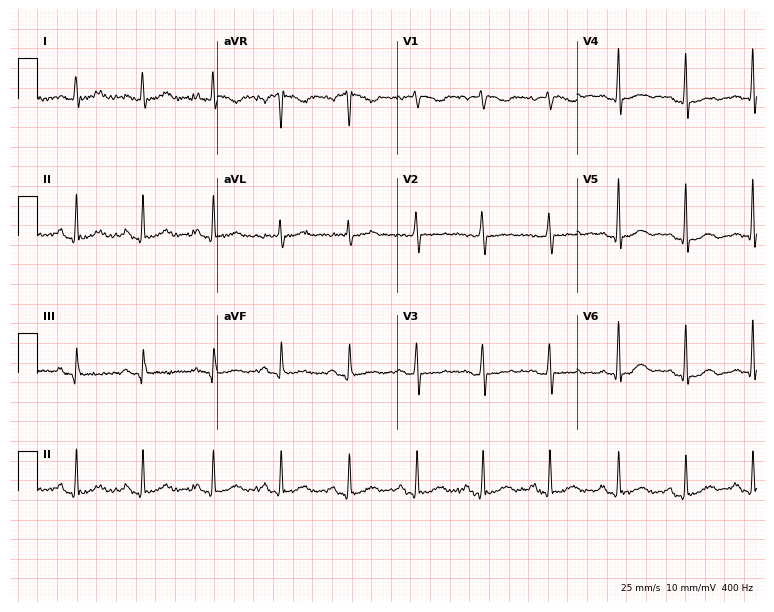
12-lead ECG from a 53-year-old female patient. Screened for six findings — first-degree AV block, right bundle branch block, left bundle branch block, sinus bradycardia, atrial fibrillation, sinus tachycardia — none is recorded.